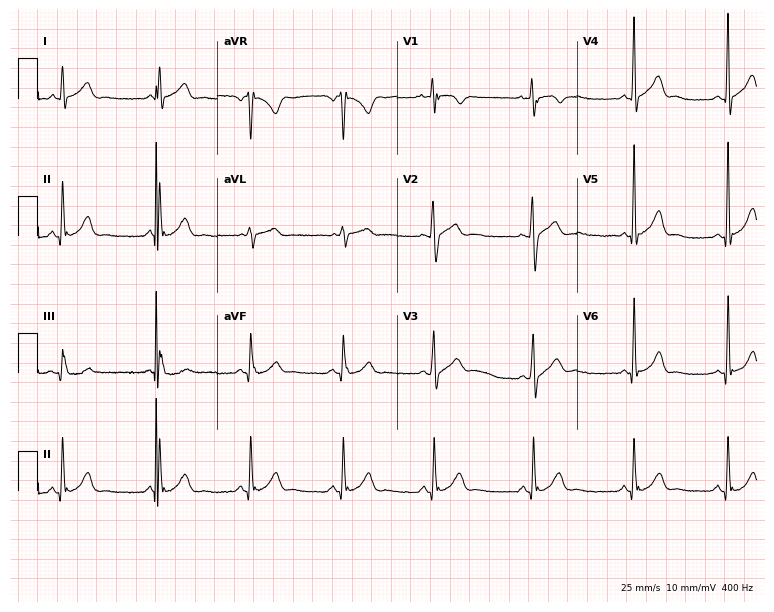
Resting 12-lead electrocardiogram. Patient: a 39-year-old male. Read as a normal ECG.